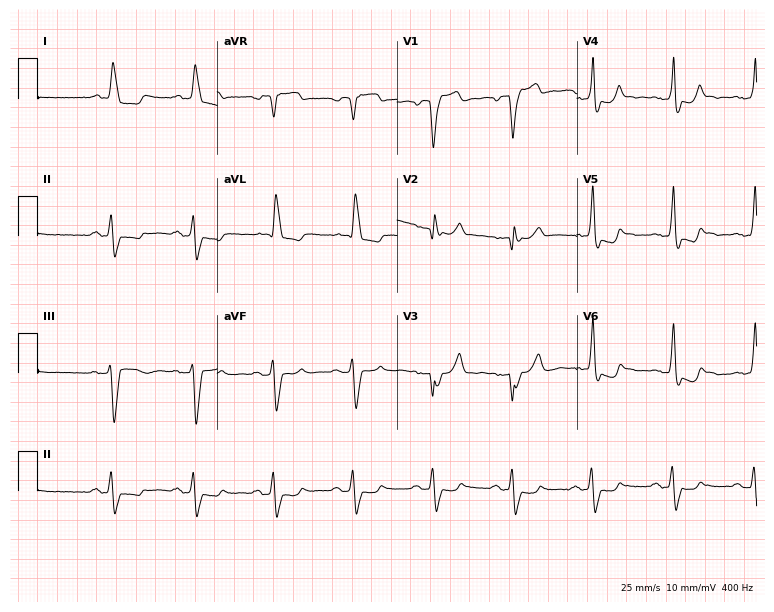
ECG — a female, 59 years old. Screened for six findings — first-degree AV block, right bundle branch block (RBBB), left bundle branch block (LBBB), sinus bradycardia, atrial fibrillation (AF), sinus tachycardia — none is recorded. Only these six findings were labelled.